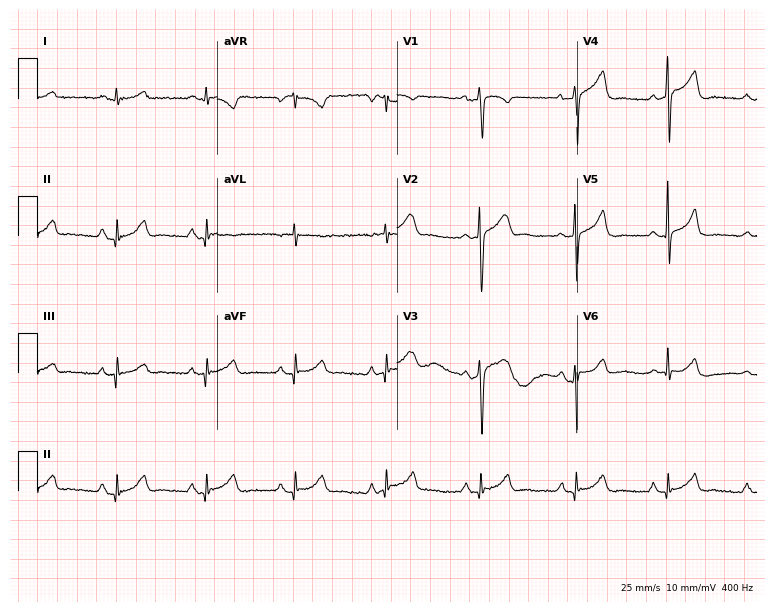
Electrocardiogram, a man, 51 years old. Overall reading on record: normal ECG.